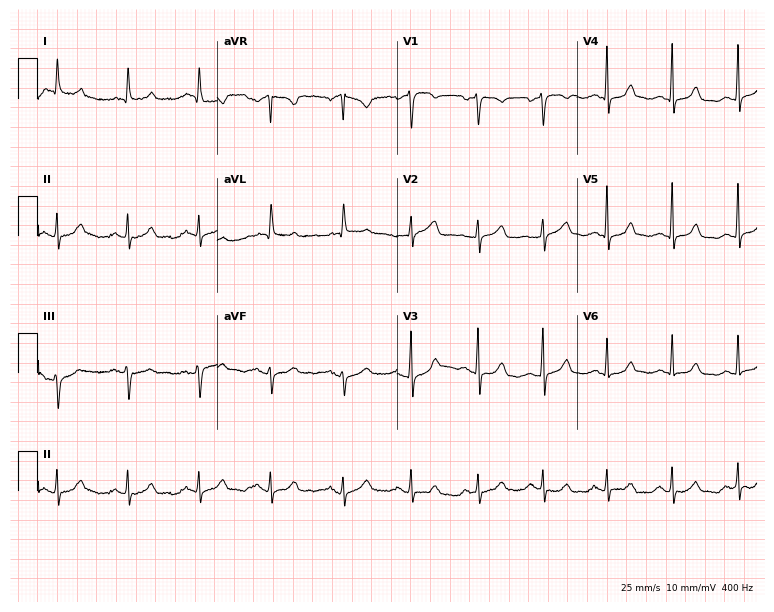
Electrocardiogram (7.3-second recording at 400 Hz), a female patient, 54 years old. Overall reading on record: normal ECG.